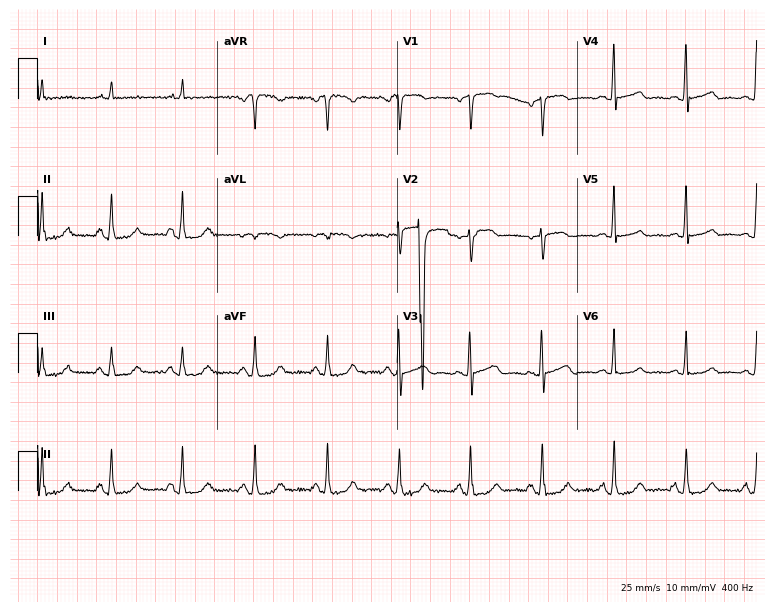
Electrocardiogram, a woman, 80 years old. Overall reading on record: normal ECG.